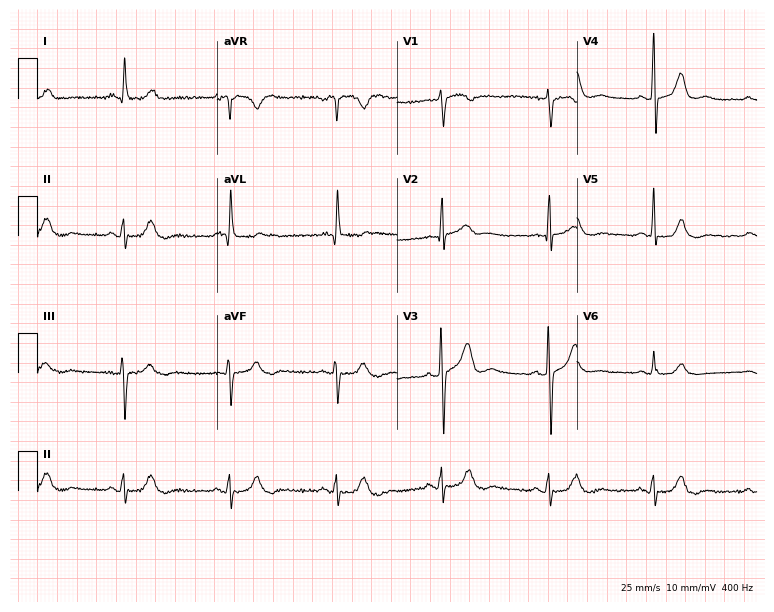
ECG — a male, 75 years old. Labelled as a normal ECG.